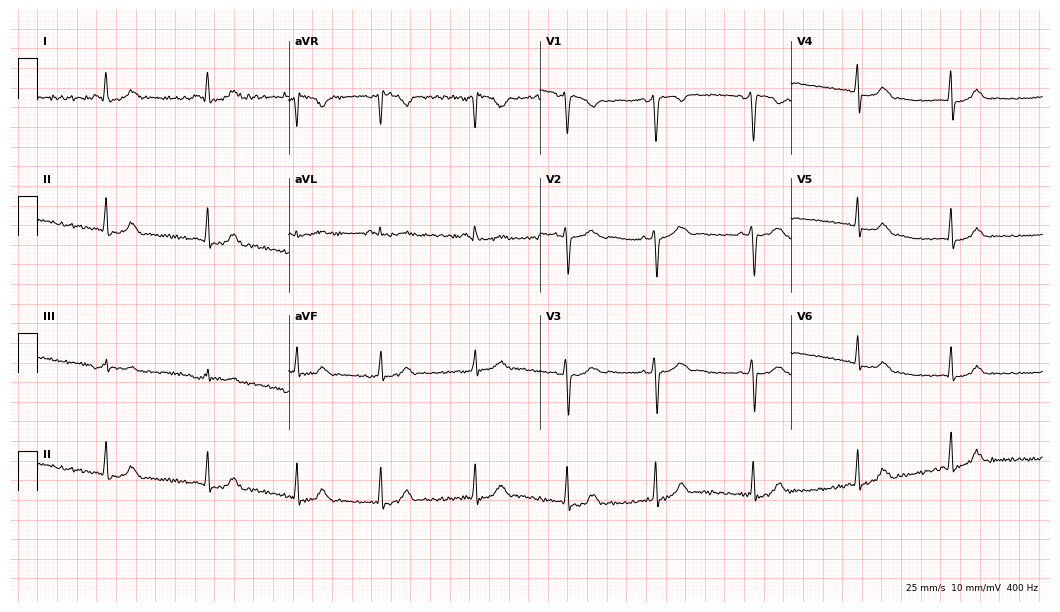
Standard 12-lead ECG recorded from a woman, 27 years old. Read as a normal ECG.